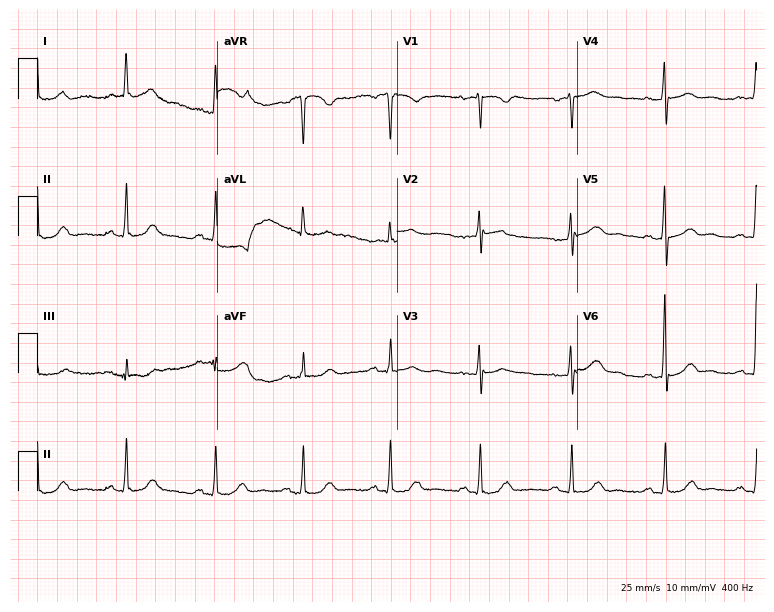
Standard 12-lead ECG recorded from a 76-year-old woman. None of these six findings is recorded: first-degree AV block, right bundle branch block (RBBB), left bundle branch block (LBBB), sinus bradycardia, atrial fibrillation (AF), sinus tachycardia.